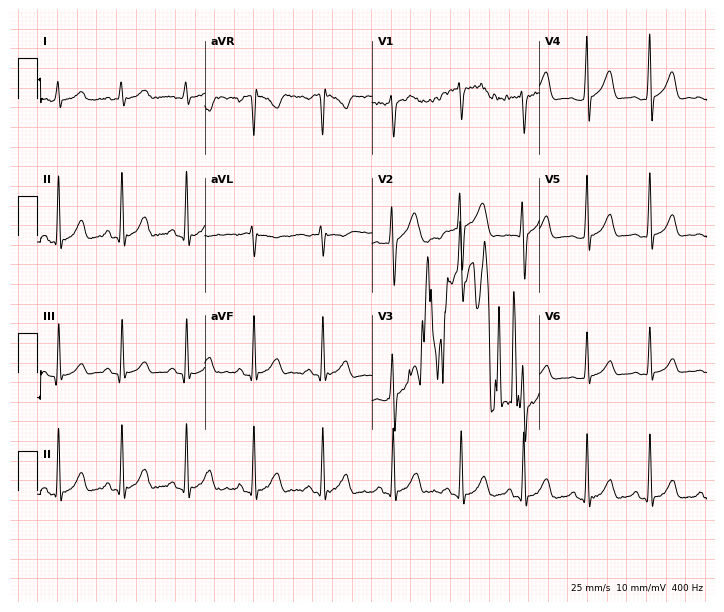
Standard 12-lead ECG recorded from a 20-year-old male (6.8-second recording at 400 Hz). None of these six findings is recorded: first-degree AV block, right bundle branch block, left bundle branch block, sinus bradycardia, atrial fibrillation, sinus tachycardia. Other findings, if any, are not listed.